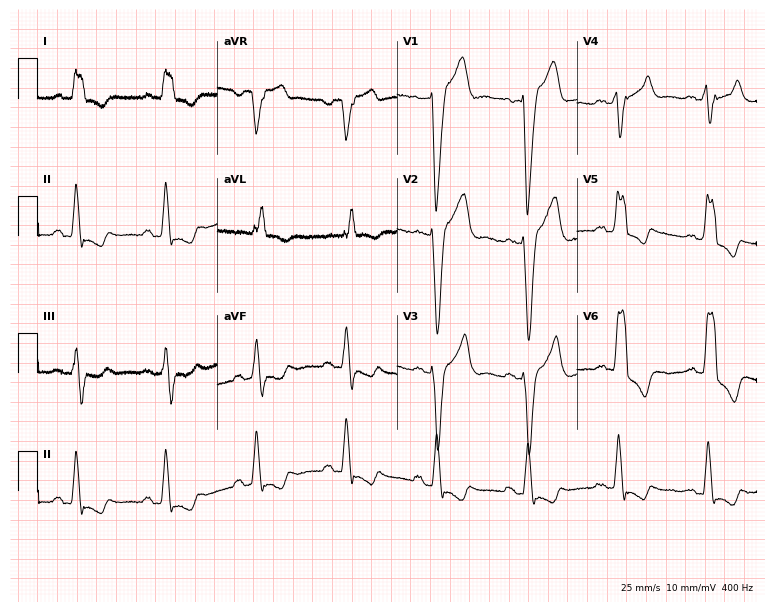
Resting 12-lead electrocardiogram (7.3-second recording at 400 Hz). Patient: a 69-year-old male. The tracing shows left bundle branch block.